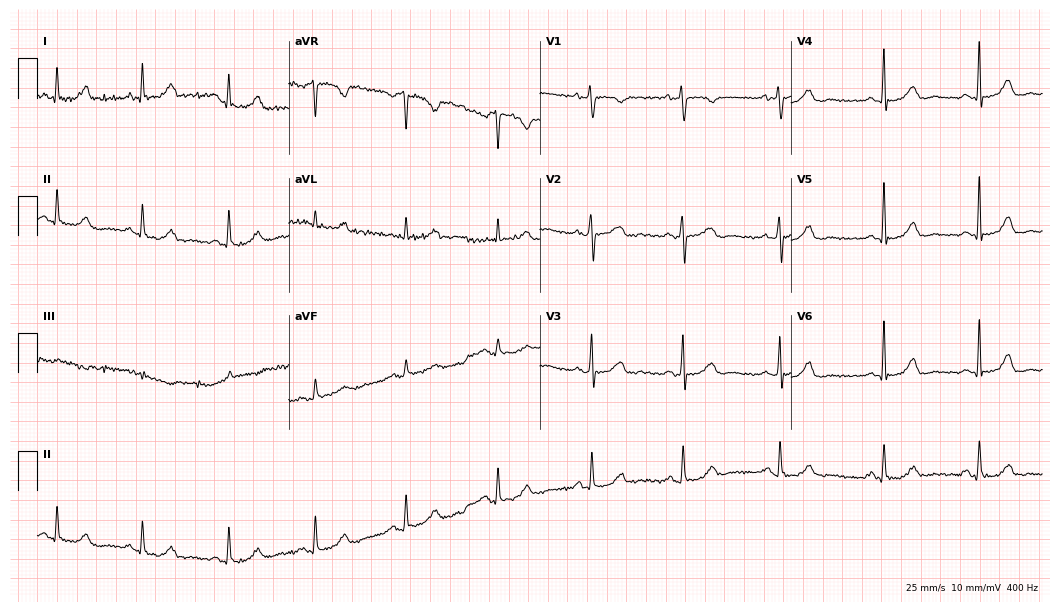
Electrocardiogram (10.2-second recording at 400 Hz), a female, 70 years old. Of the six screened findings (first-degree AV block, right bundle branch block, left bundle branch block, sinus bradycardia, atrial fibrillation, sinus tachycardia), none is recorded.